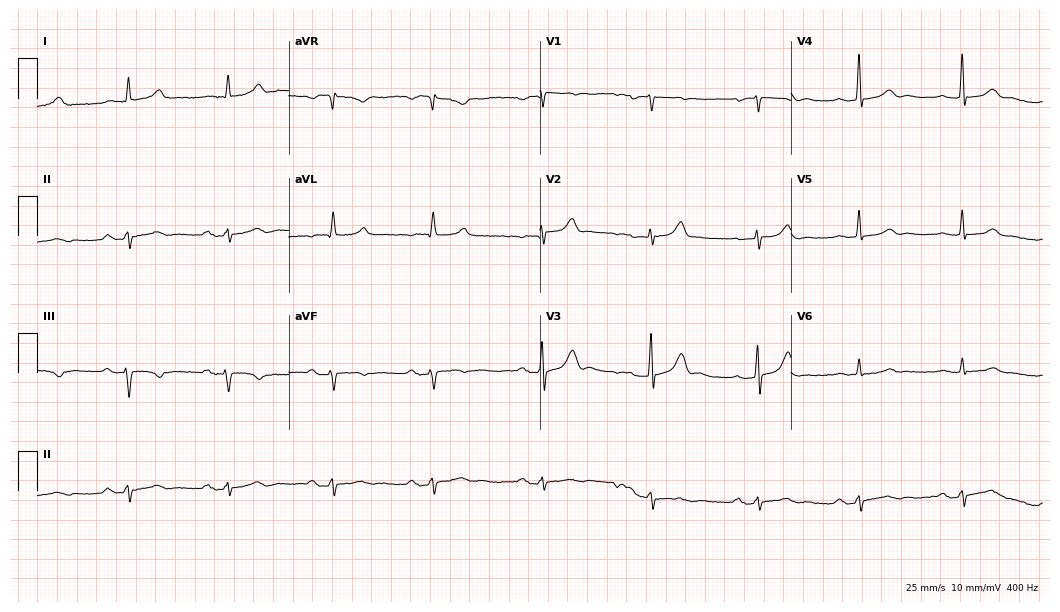
Standard 12-lead ECG recorded from a female patient, 83 years old (10.2-second recording at 400 Hz). Read as a normal ECG.